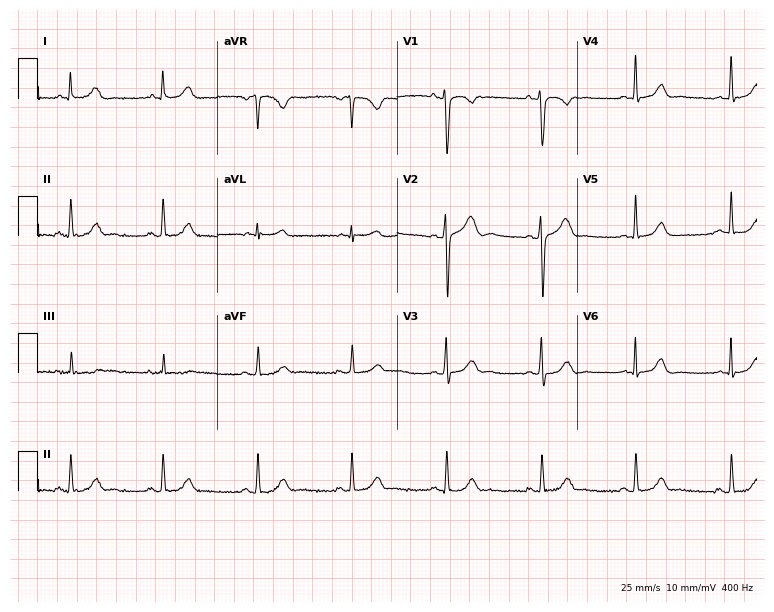
12-lead ECG from a 47-year-old female patient. Screened for six findings — first-degree AV block, right bundle branch block, left bundle branch block, sinus bradycardia, atrial fibrillation, sinus tachycardia — none is recorded. Other findings, if any, are not listed.